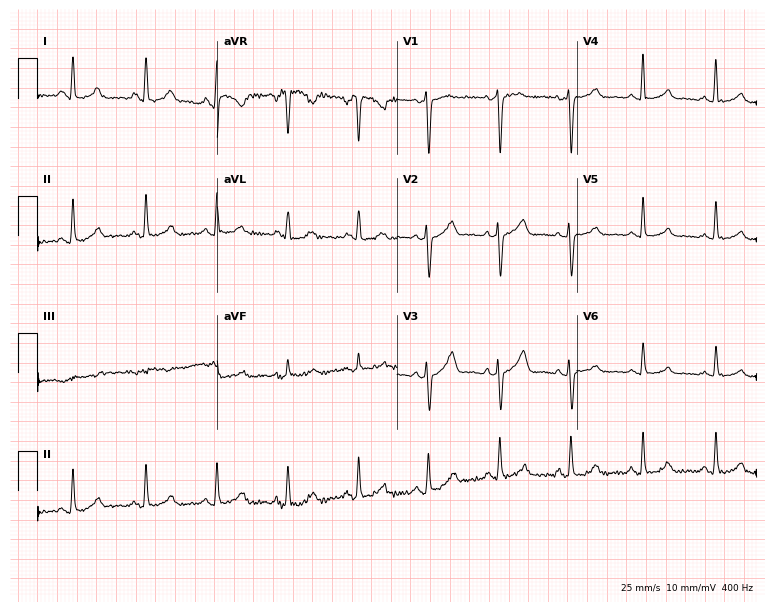
ECG (7.3-second recording at 400 Hz) — a 37-year-old woman. Screened for six findings — first-degree AV block, right bundle branch block, left bundle branch block, sinus bradycardia, atrial fibrillation, sinus tachycardia — none is recorded.